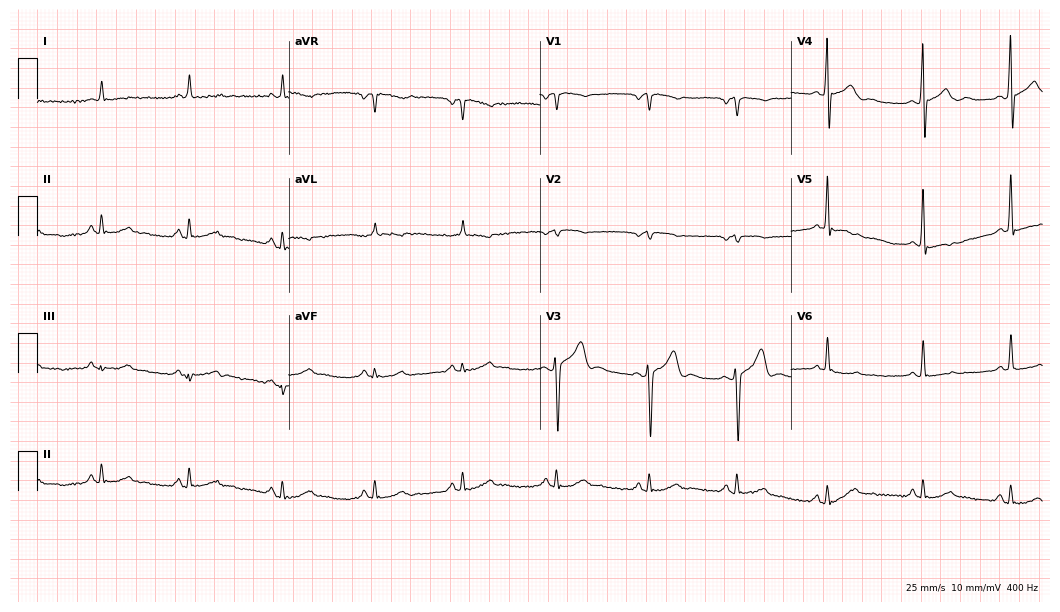
12-lead ECG from a male patient, 74 years old. Labelled as a normal ECG.